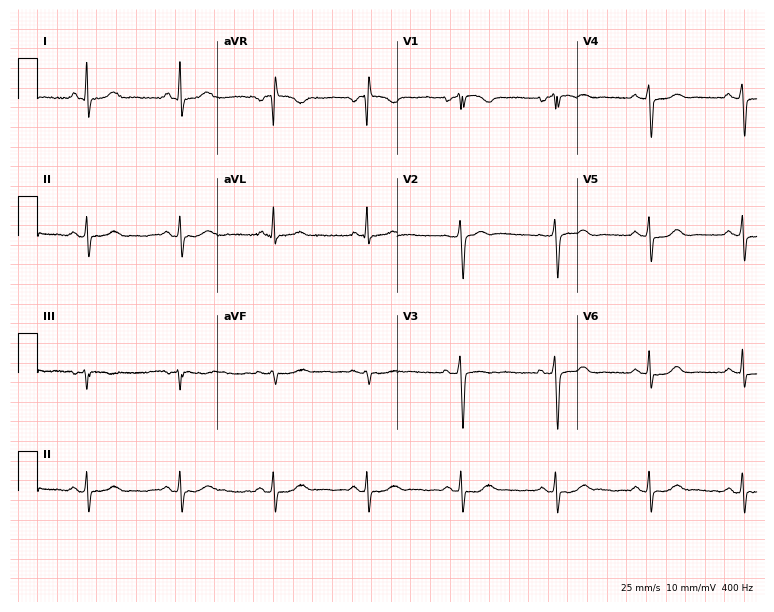
Resting 12-lead electrocardiogram (7.3-second recording at 400 Hz). Patient: a 71-year-old female. Read as a normal ECG.